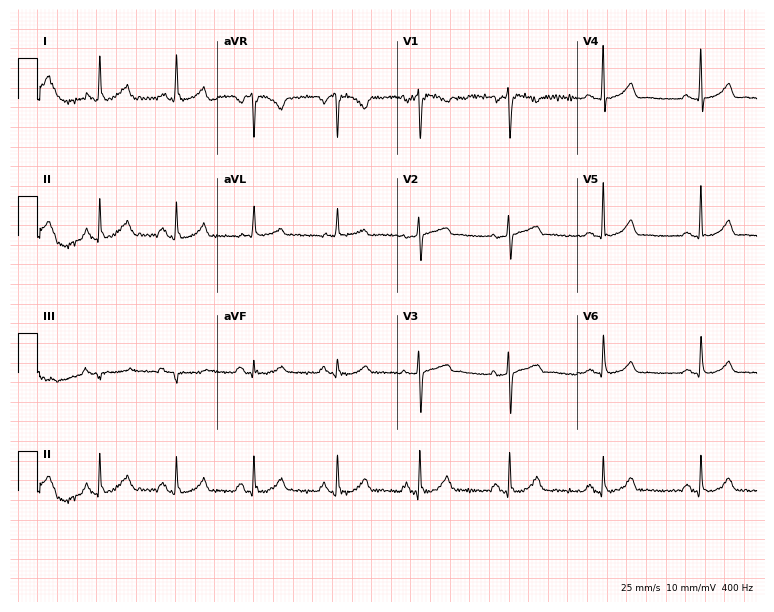
12-lead ECG from a 55-year-old woman (7.3-second recording at 400 Hz). Recorded interpretation: within normal limits.